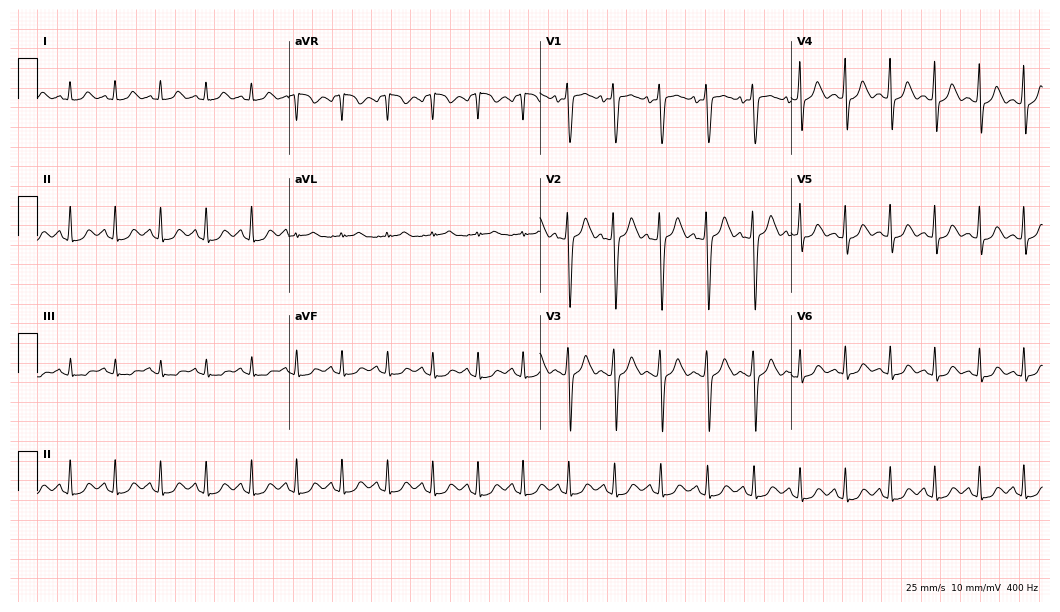
Electrocardiogram, a 27-year-old male patient. Of the six screened findings (first-degree AV block, right bundle branch block, left bundle branch block, sinus bradycardia, atrial fibrillation, sinus tachycardia), none is recorded. Only these six findings were labelled.